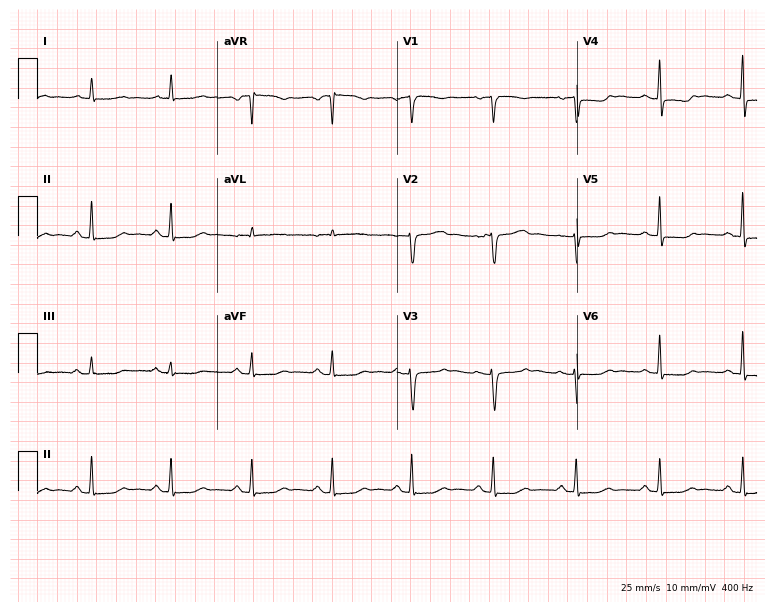
12-lead ECG (7.3-second recording at 400 Hz) from a 55-year-old woman. Screened for six findings — first-degree AV block, right bundle branch block, left bundle branch block, sinus bradycardia, atrial fibrillation, sinus tachycardia — none is recorded. Other findings, if any, are not listed.